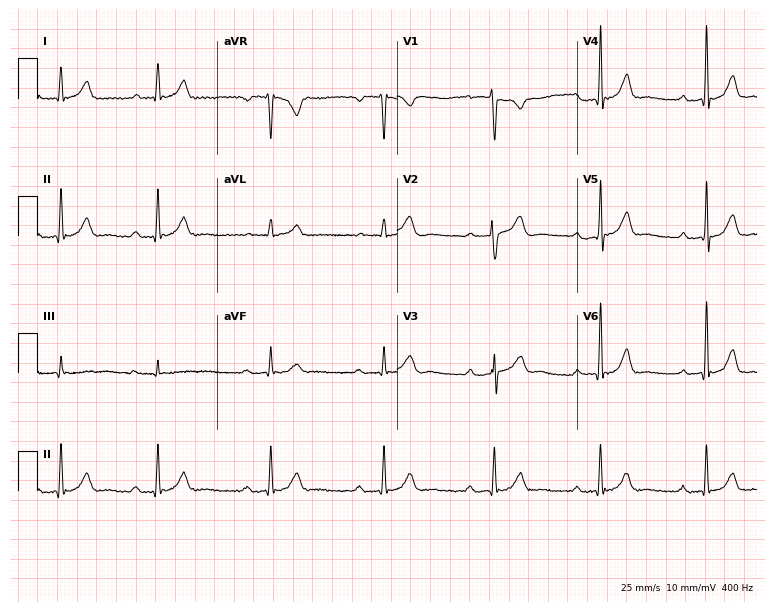
12-lead ECG from a male, 39 years old. Labelled as a normal ECG.